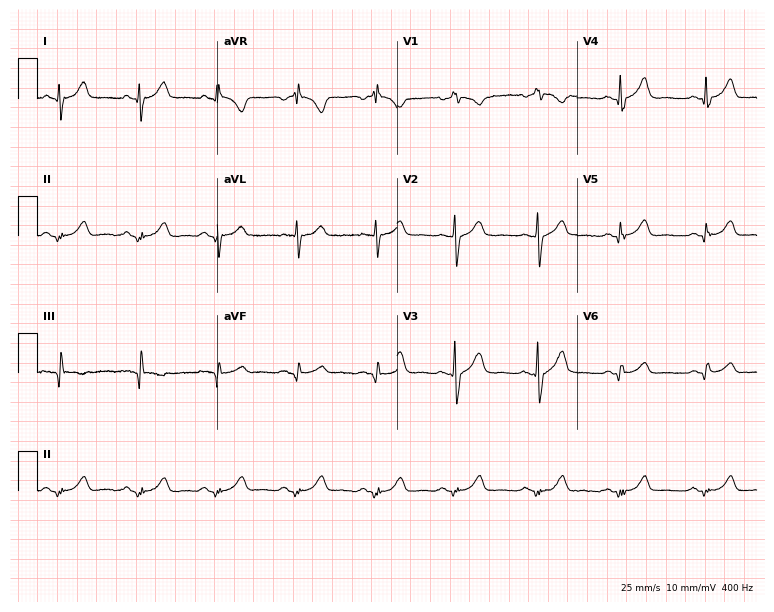
12-lead ECG from a 45-year-old male patient. Screened for six findings — first-degree AV block, right bundle branch block, left bundle branch block, sinus bradycardia, atrial fibrillation, sinus tachycardia — none is recorded.